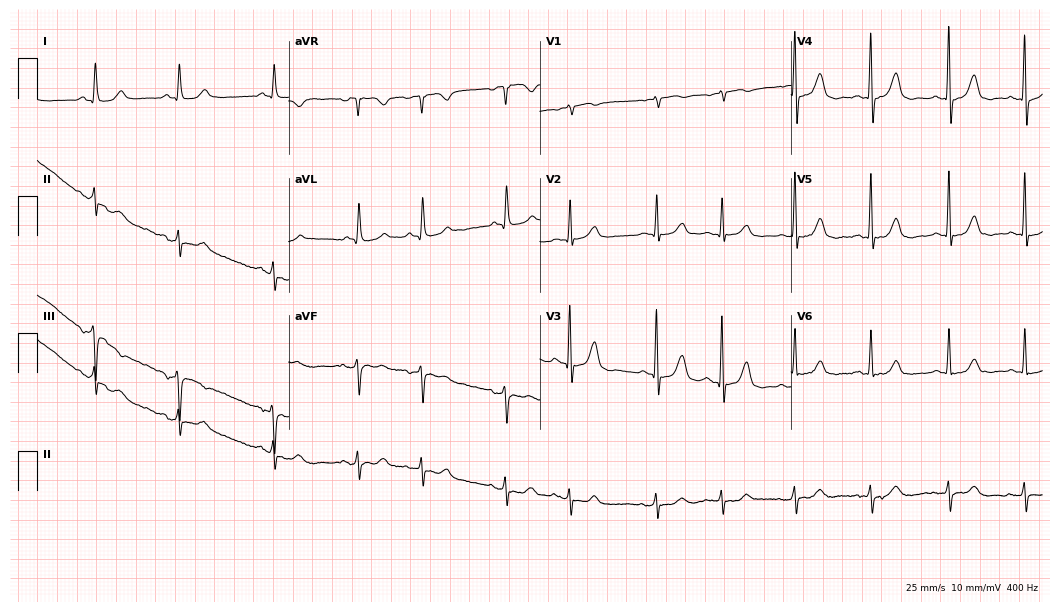
ECG (10.2-second recording at 400 Hz) — a woman, 79 years old. Labelled as a normal ECG.